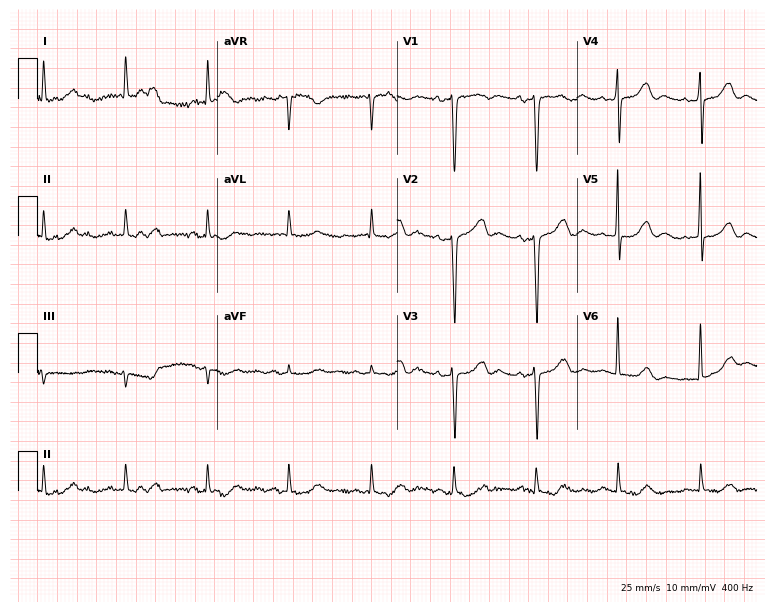
ECG (7.3-second recording at 400 Hz) — a 76-year-old female patient. Screened for six findings — first-degree AV block, right bundle branch block (RBBB), left bundle branch block (LBBB), sinus bradycardia, atrial fibrillation (AF), sinus tachycardia — none is recorded. Only these six findings were labelled.